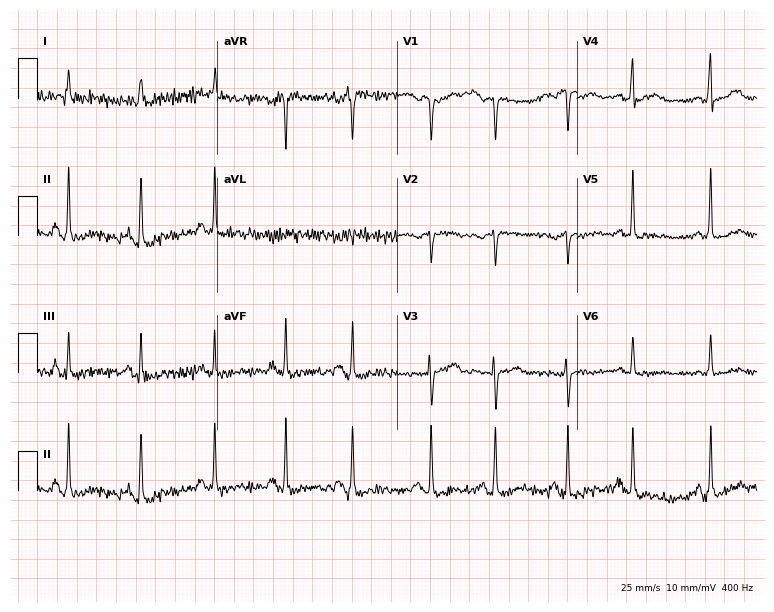
Electrocardiogram, a female, 74 years old. Of the six screened findings (first-degree AV block, right bundle branch block, left bundle branch block, sinus bradycardia, atrial fibrillation, sinus tachycardia), none is recorded. Other findings, if any, are not listed.